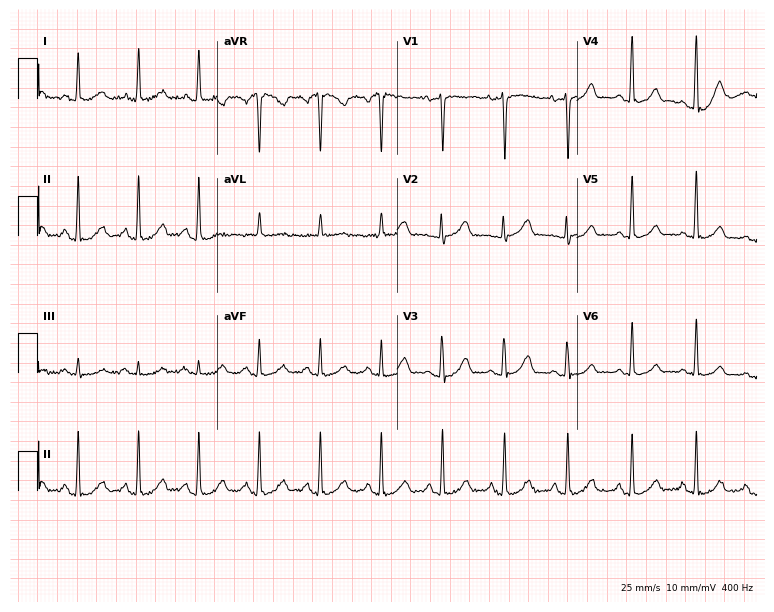
12-lead ECG from a female patient, 64 years old. Recorded interpretation: within normal limits.